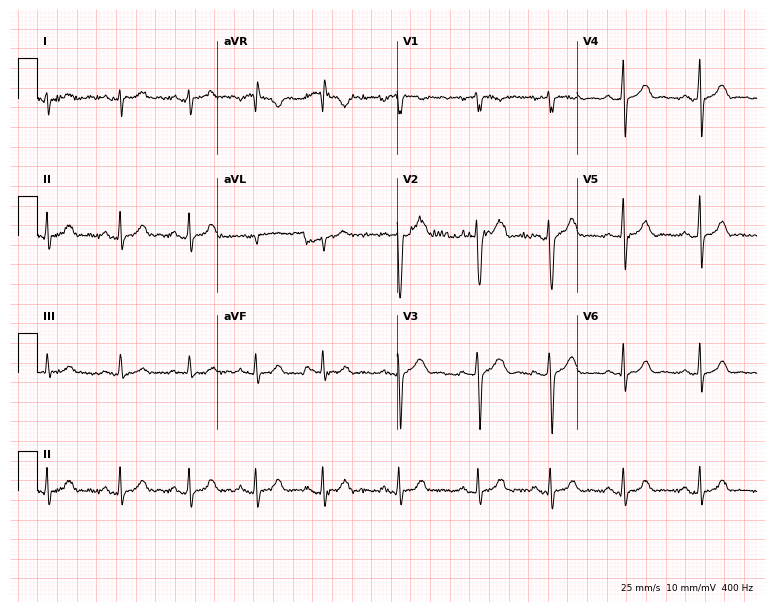
12-lead ECG from a woman, 17 years old (7.3-second recording at 400 Hz). Recorded interpretation: within normal limits.